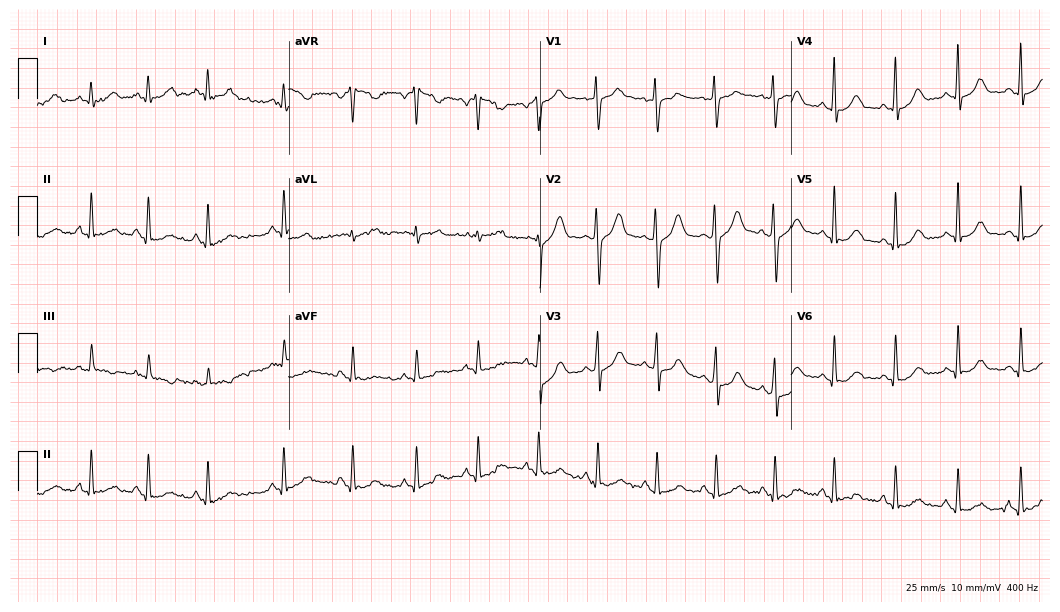
Resting 12-lead electrocardiogram. Patient: a male, 32 years old. Read as a normal ECG.